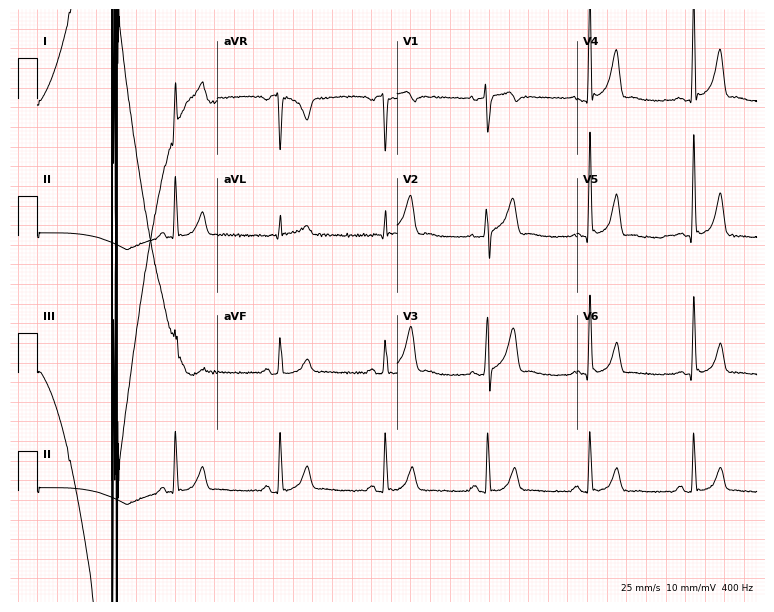
ECG — a 51-year-old male patient. Screened for six findings — first-degree AV block, right bundle branch block, left bundle branch block, sinus bradycardia, atrial fibrillation, sinus tachycardia — none is recorded. Other findings, if any, are not listed.